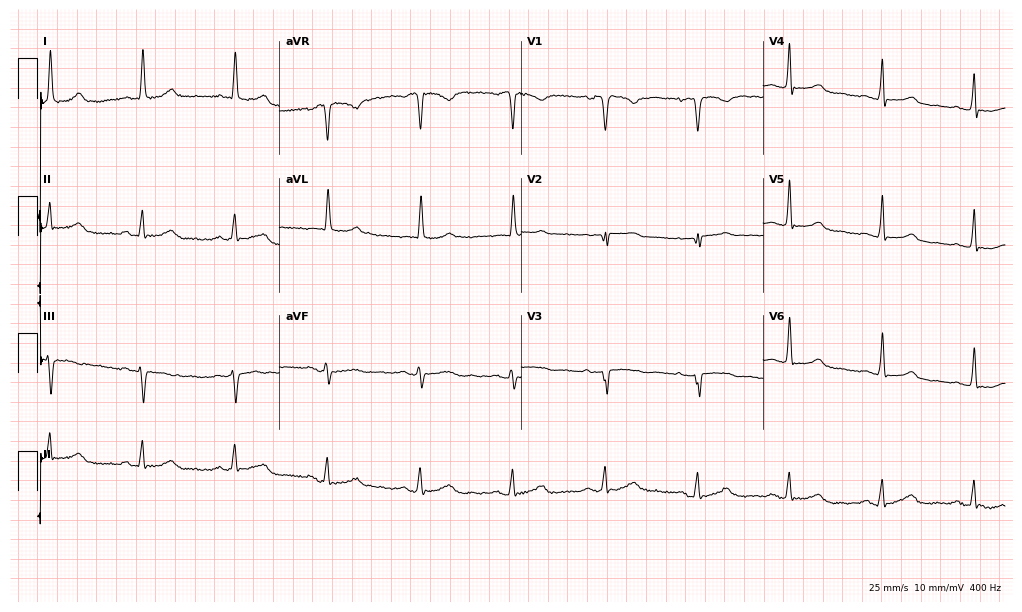
Electrocardiogram, a 71-year-old female patient. Overall reading on record: normal ECG.